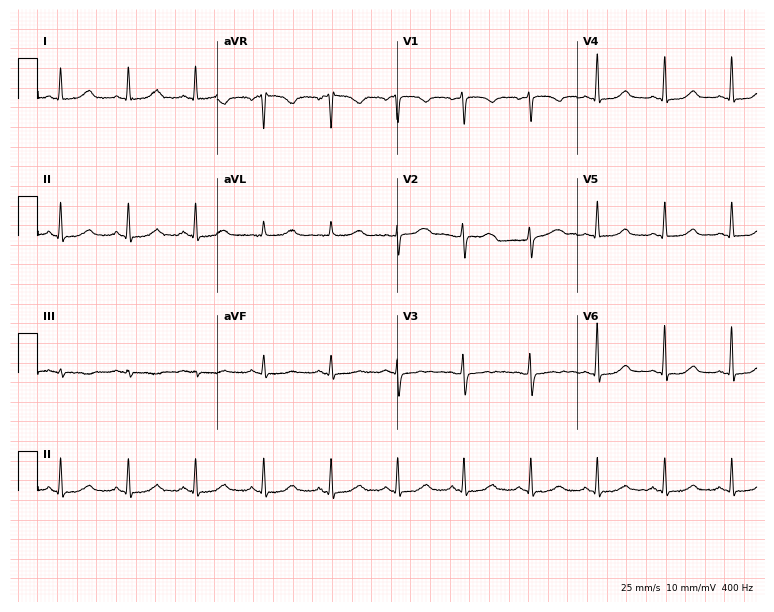
12-lead ECG from a female, 48 years old. Screened for six findings — first-degree AV block, right bundle branch block, left bundle branch block, sinus bradycardia, atrial fibrillation, sinus tachycardia — none is recorded. Only these six findings were labelled.